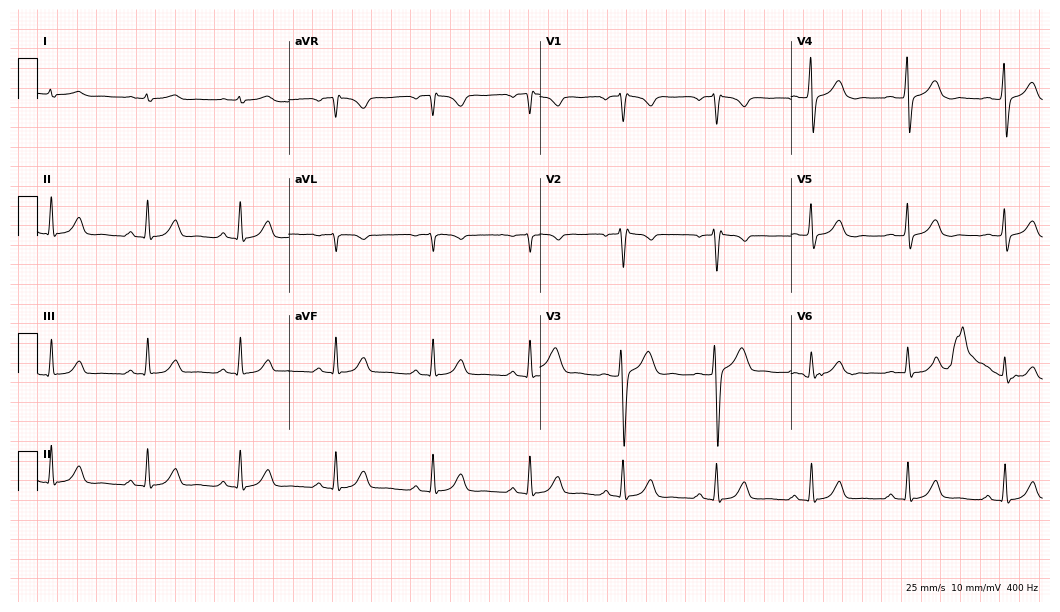
12-lead ECG from a 60-year-old man. No first-degree AV block, right bundle branch block, left bundle branch block, sinus bradycardia, atrial fibrillation or sinus tachycardia recorded for this tracing. Findings outside these six are not listed.